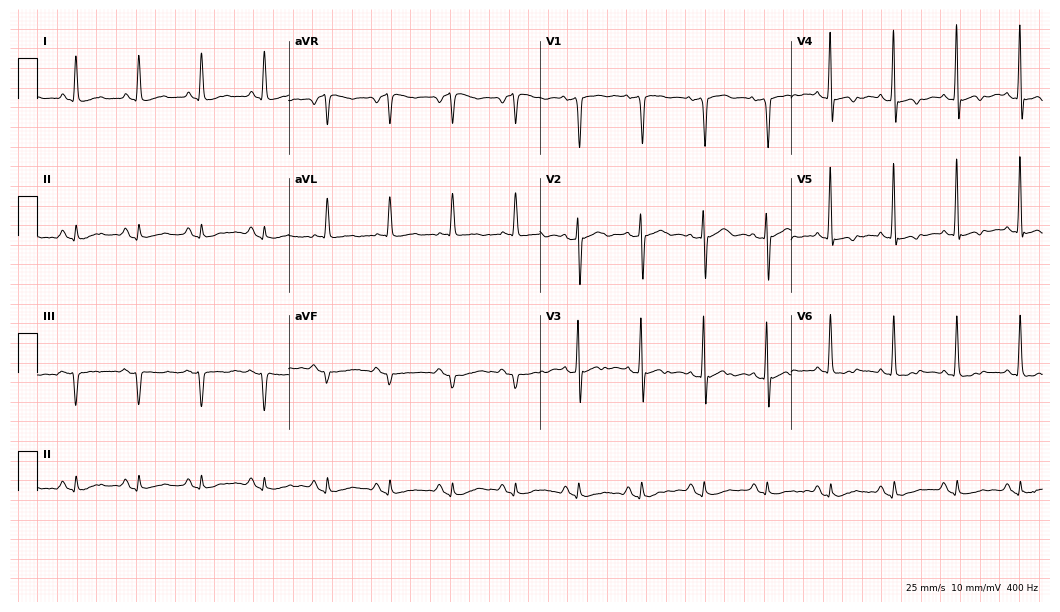
12-lead ECG from a male, 74 years old. Screened for six findings — first-degree AV block, right bundle branch block, left bundle branch block, sinus bradycardia, atrial fibrillation, sinus tachycardia — none is recorded.